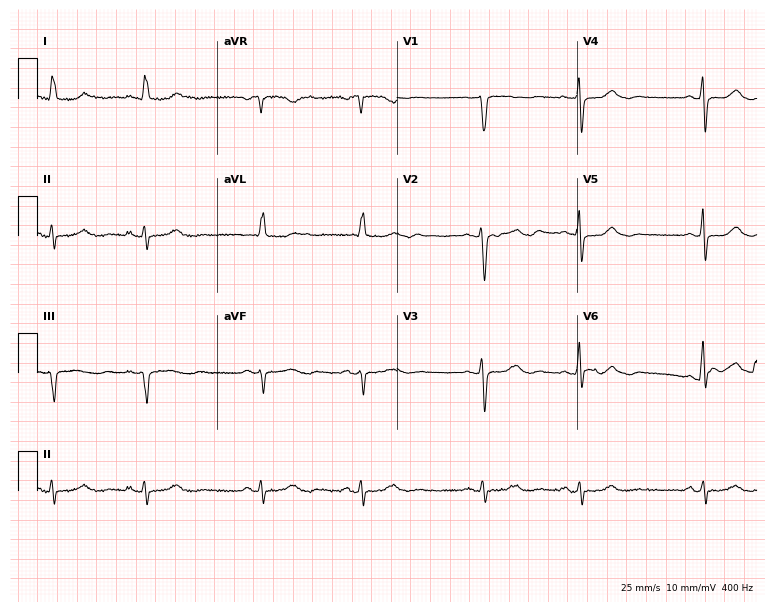
Resting 12-lead electrocardiogram. Patient: a female, 53 years old. Read as a normal ECG.